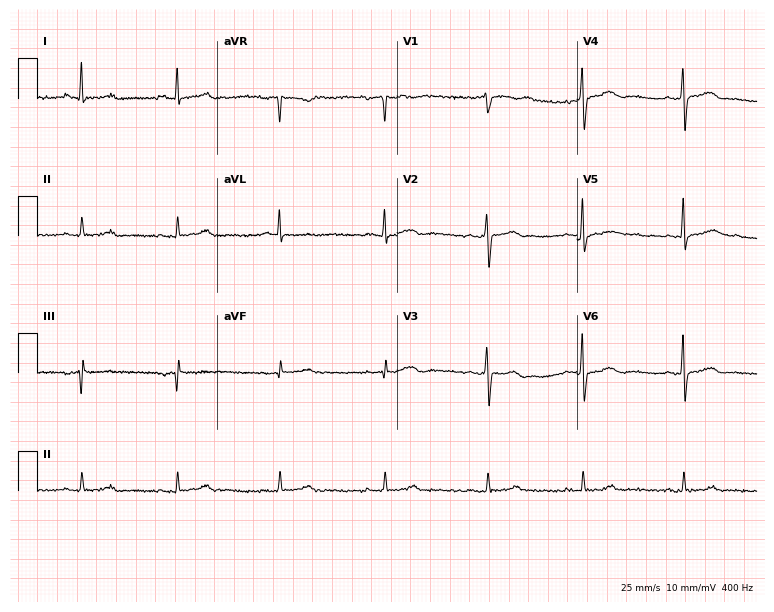
12-lead ECG from a female patient, 52 years old. Screened for six findings — first-degree AV block, right bundle branch block, left bundle branch block, sinus bradycardia, atrial fibrillation, sinus tachycardia — none is recorded. Other findings, if any, are not listed.